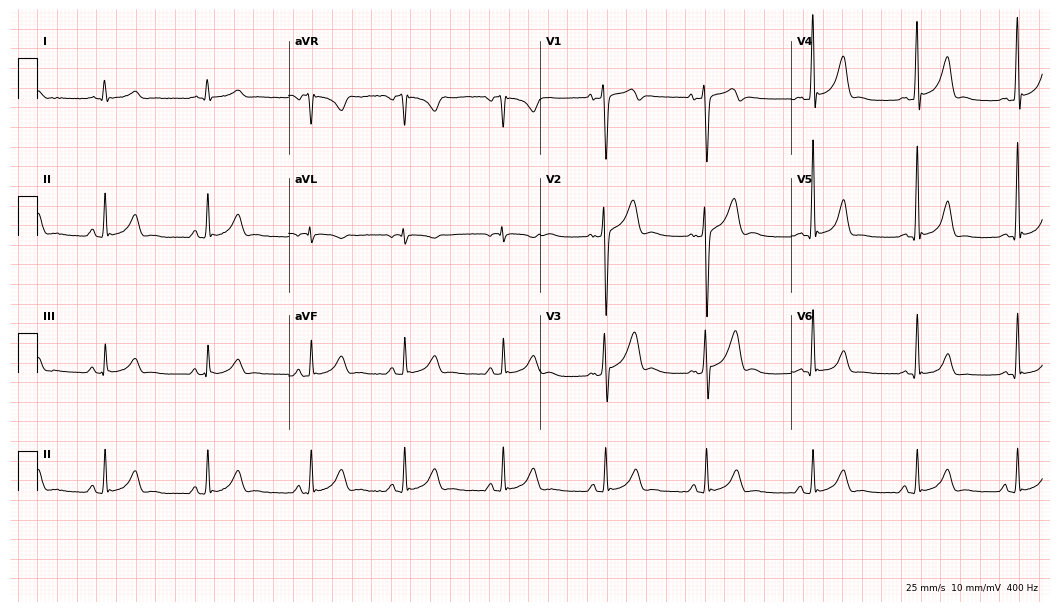
Electrocardiogram (10.2-second recording at 400 Hz), a 19-year-old man. Overall reading on record: normal ECG.